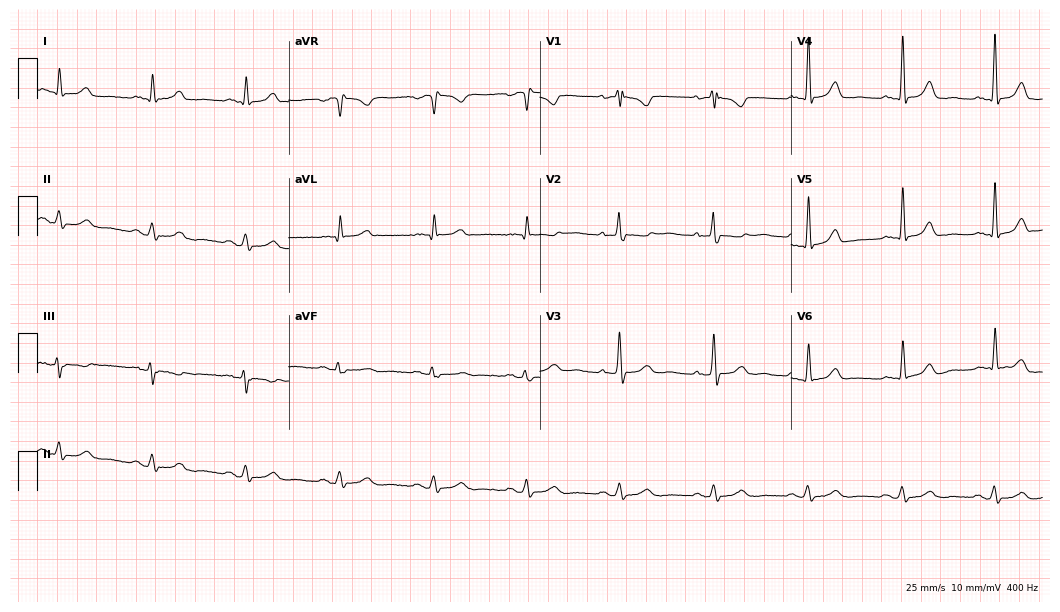
12-lead ECG from a 62-year-old woman. Labelled as a normal ECG.